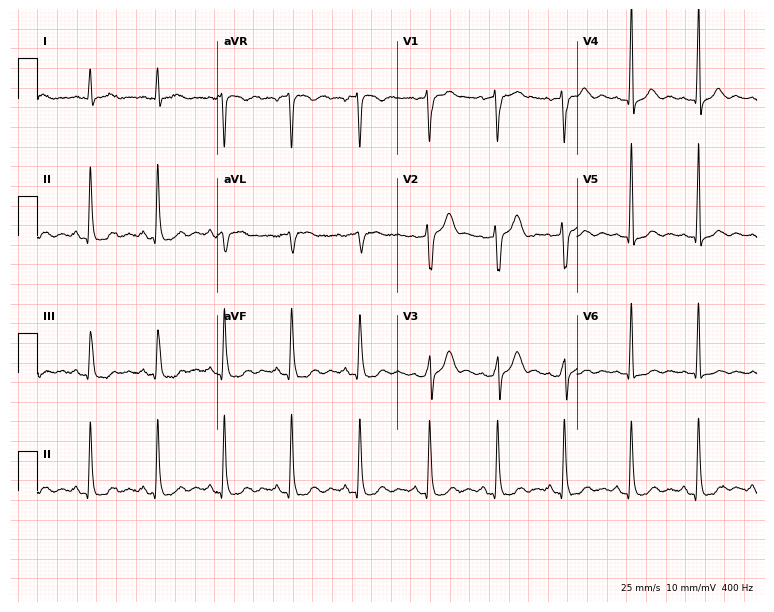
ECG (7.3-second recording at 400 Hz) — a 55-year-old man. Screened for six findings — first-degree AV block, right bundle branch block (RBBB), left bundle branch block (LBBB), sinus bradycardia, atrial fibrillation (AF), sinus tachycardia — none is recorded. Findings outside these six are not listed.